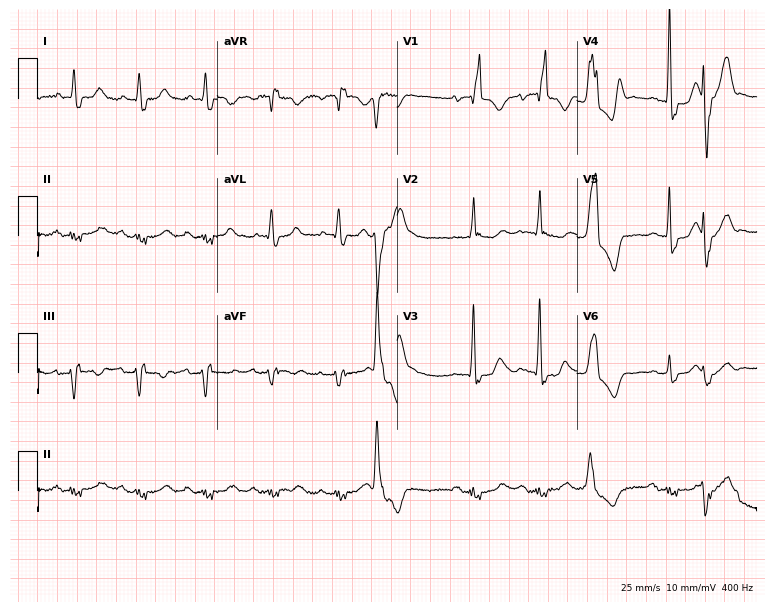
12-lead ECG from an 82-year-old woman. Findings include right bundle branch block.